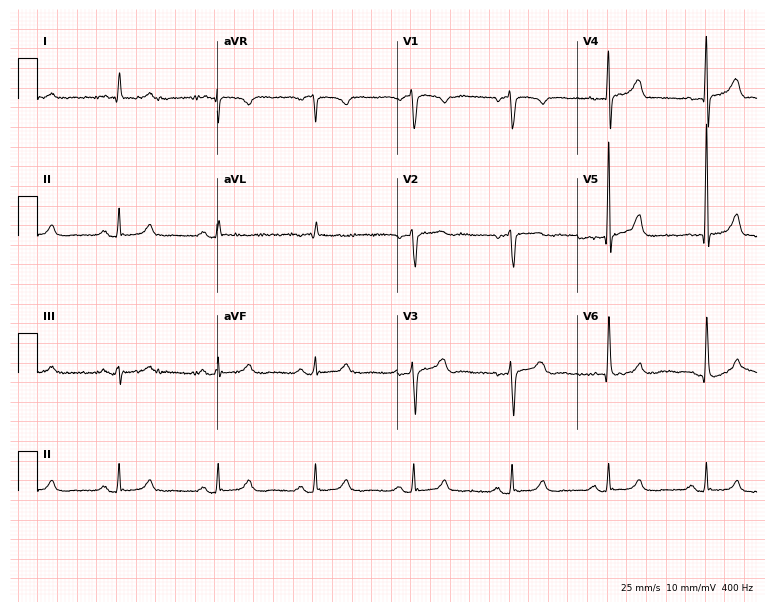
12-lead ECG from a male, 78 years old. Recorded interpretation: within normal limits.